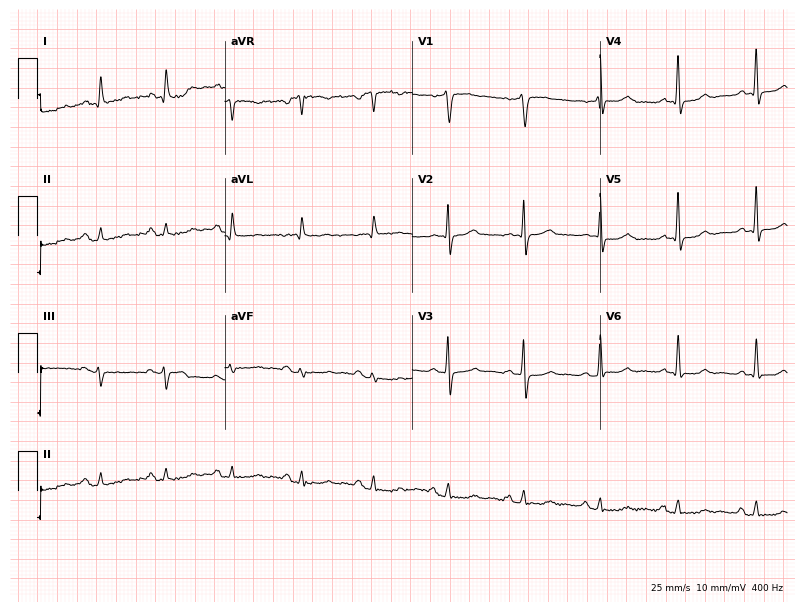
12-lead ECG from a 75-year-old male patient. Screened for six findings — first-degree AV block, right bundle branch block, left bundle branch block, sinus bradycardia, atrial fibrillation, sinus tachycardia — none is recorded. Only these six findings were labelled.